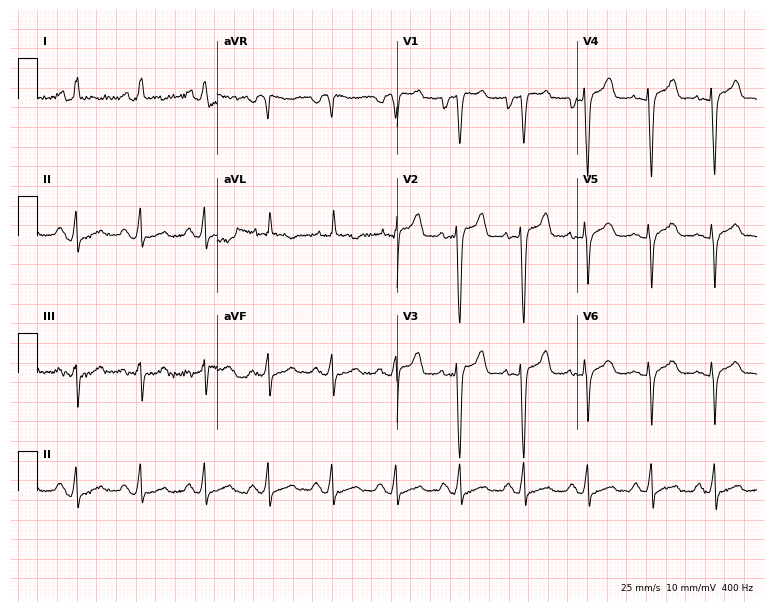
Electrocardiogram (7.3-second recording at 400 Hz), a 44-year-old man. Of the six screened findings (first-degree AV block, right bundle branch block (RBBB), left bundle branch block (LBBB), sinus bradycardia, atrial fibrillation (AF), sinus tachycardia), none is recorded.